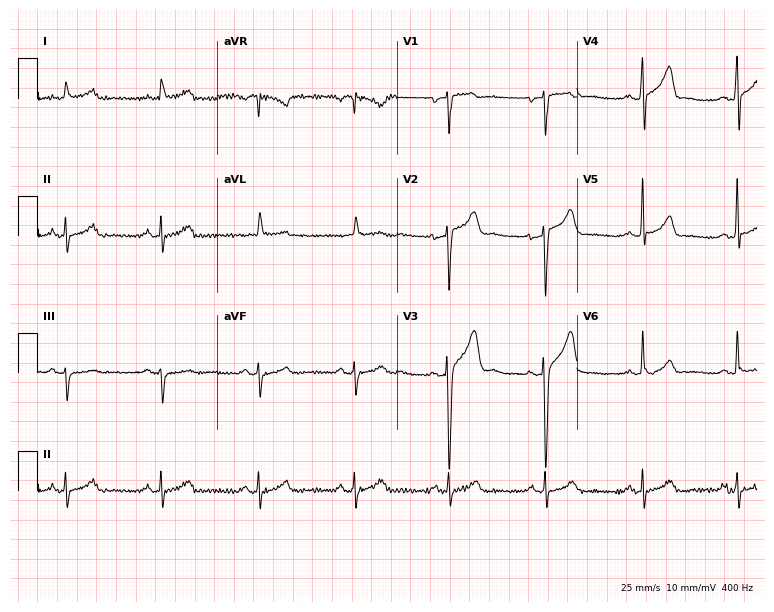
Electrocardiogram (7.3-second recording at 400 Hz), a 58-year-old man. Of the six screened findings (first-degree AV block, right bundle branch block, left bundle branch block, sinus bradycardia, atrial fibrillation, sinus tachycardia), none is recorded. Other findings, if any, are not listed.